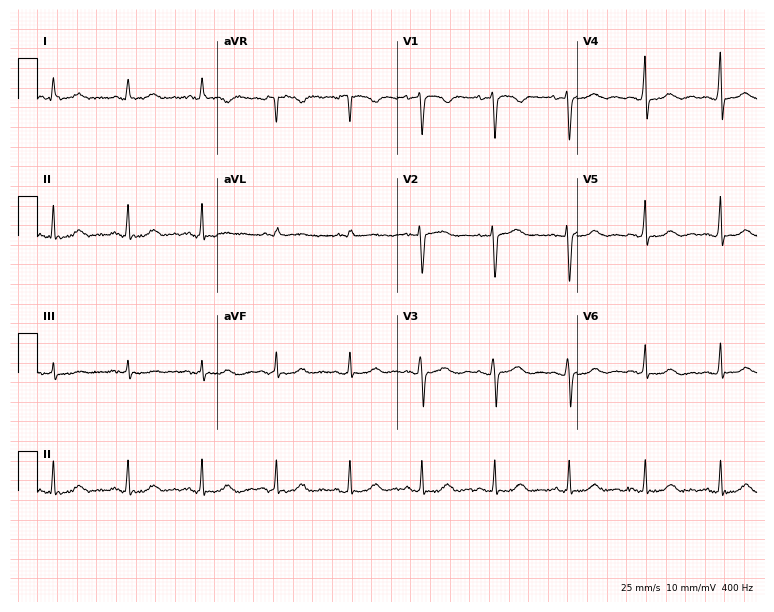
ECG — a female patient, 58 years old. Labelled as a normal ECG.